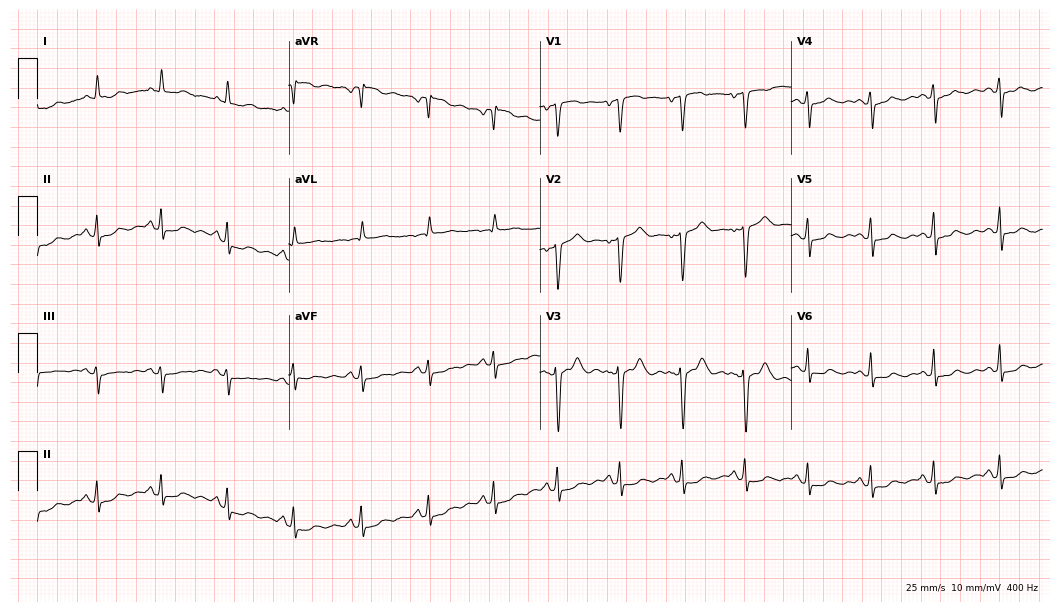
12-lead ECG from a female patient, 49 years old (10.2-second recording at 400 Hz). No first-degree AV block, right bundle branch block, left bundle branch block, sinus bradycardia, atrial fibrillation or sinus tachycardia recorded for this tracing.